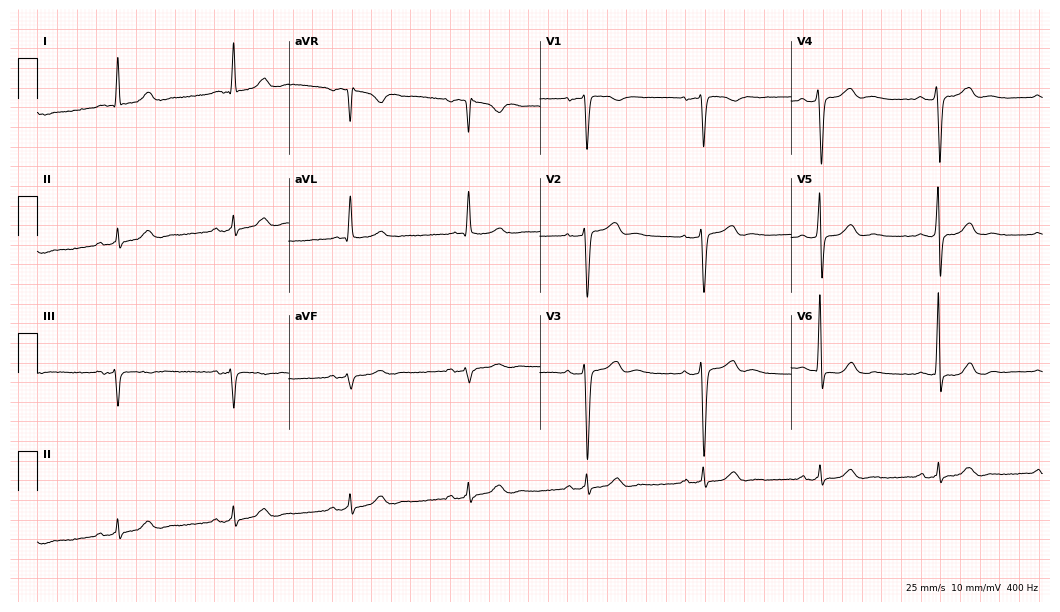
ECG — a man, 73 years old. Screened for six findings — first-degree AV block, right bundle branch block (RBBB), left bundle branch block (LBBB), sinus bradycardia, atrial fibrillation (AF), sinus tachycardia — none is recorded. Other findings, if any, are not listed.